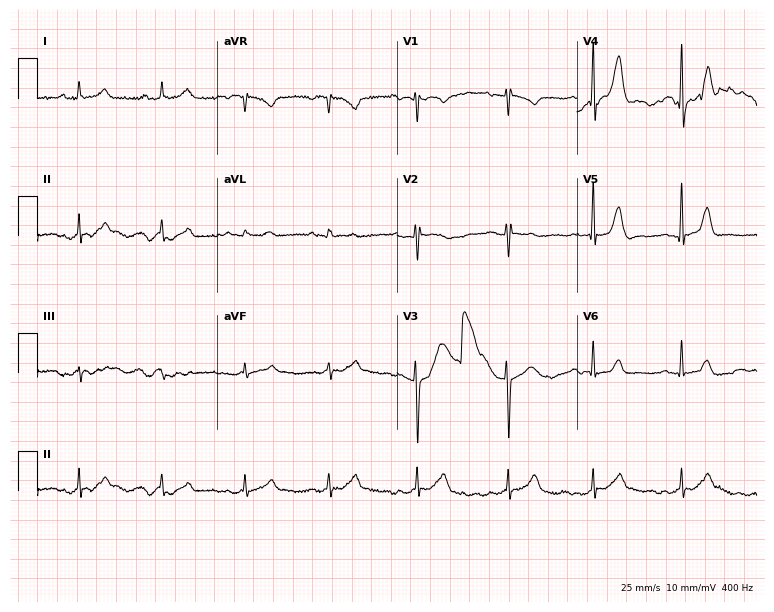
Standard 12-lead ECG recorded from a woman, 29 years old. Read as a normal ECG.